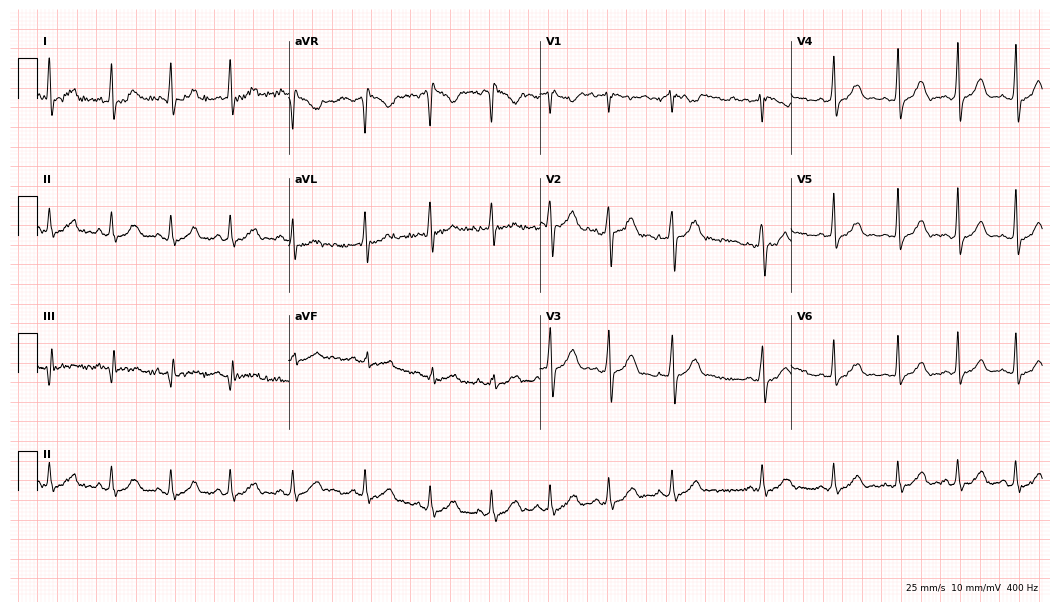
Electrocardiogram, a female patient, 28 years old. Overall reading on record: normal ECG.